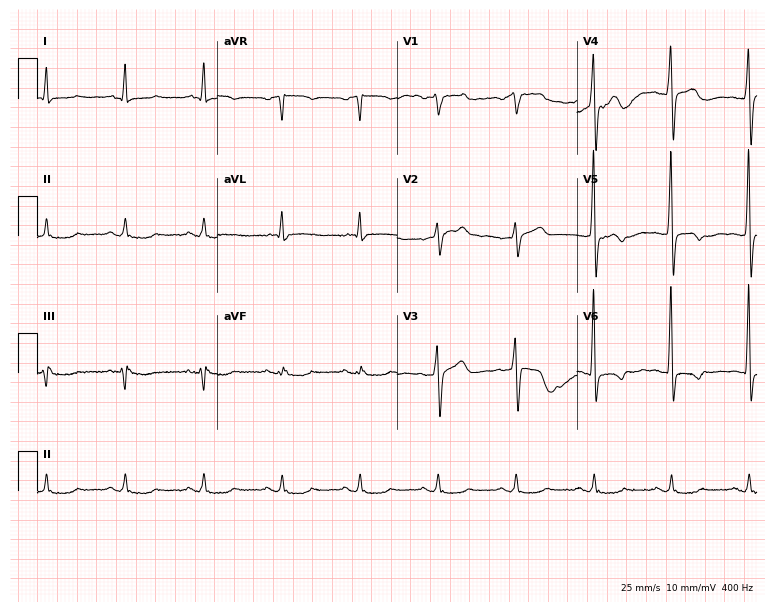
12-lead ECG from a 60-year-old male (7.3-second recording at 400 Hz). No first-degree AV block, right bundle branch block, left bundle branch block, sinus bradycardia, atrial fibrillation or sinus tachycardia recorded for this tracing.